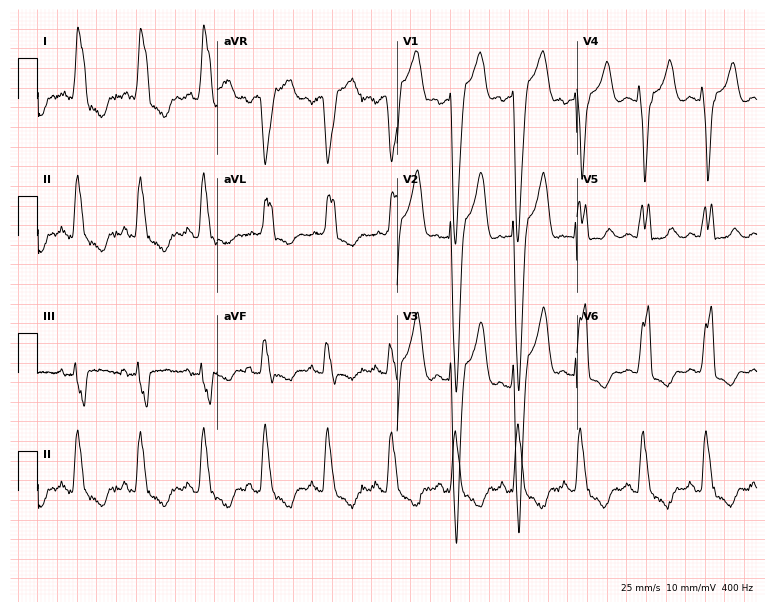
12-lead ECG (7.3-second recording at 400 Hz) from a 64-year-old female patient. Screened for six findings — first-degree AV block, right bundle branch block, left bundle branch block, sinus bradycardia, atrial fibrillation, sinus tachycardia — none is recorded. Findings outside these six are not listed.